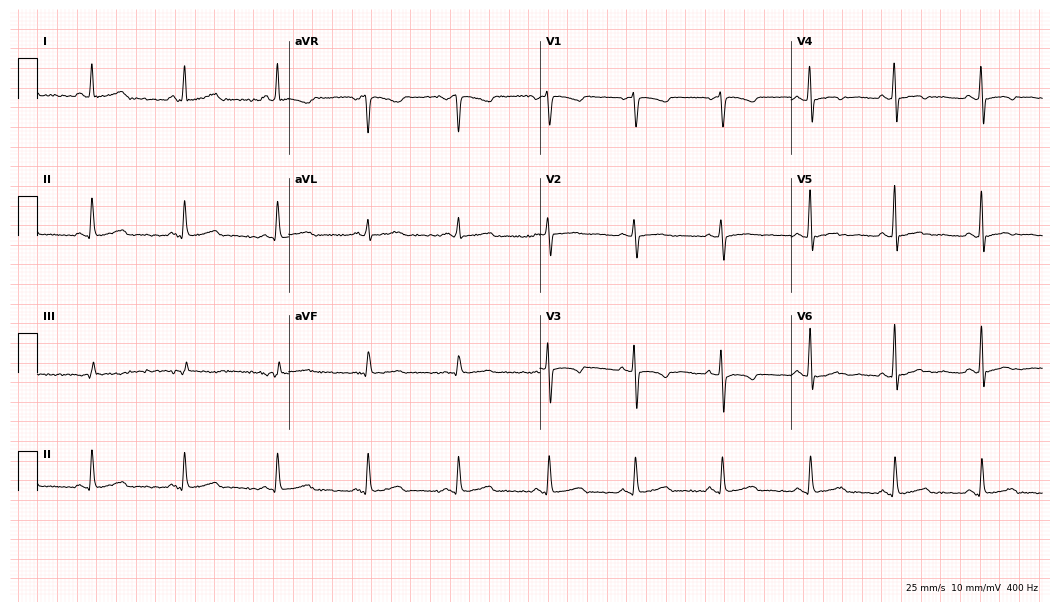
Standard 12-lead ECG recorded from a 51-year-old female patient (10.2-second recording at 400 Hz). None of these six findings is recorded: first-degree AV block, right bundle branch block, left bundle branch block, sinus bradycardia, atrial fibrillation, sinus tachycardia. Other findings, if any, are not listed.